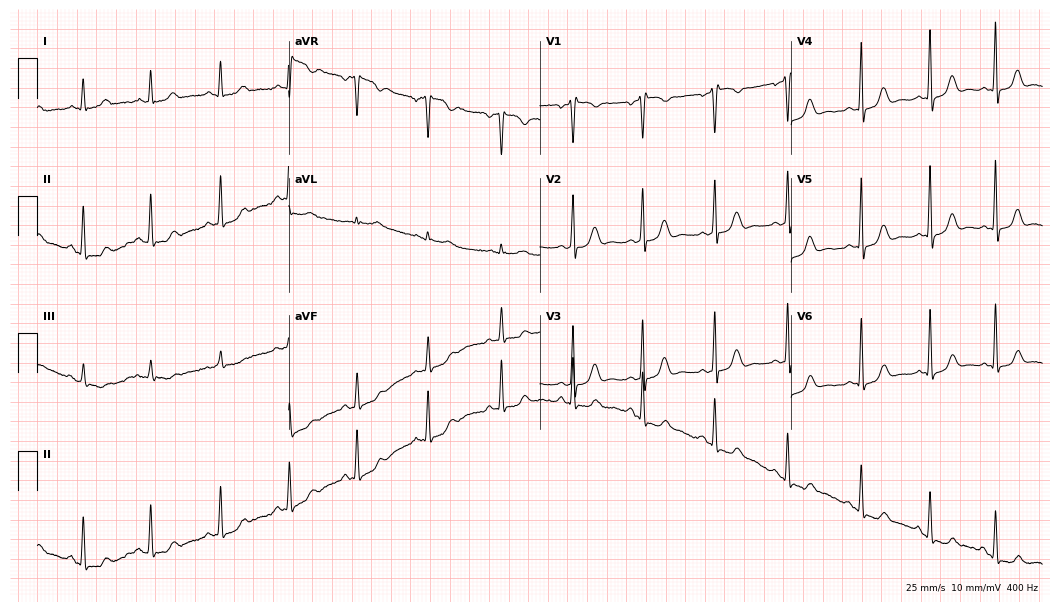
12-lead ECG from a female patient, 38 years old. Screened for six findings — first-degree AV block, right bundle branch block, left bundle branch block, sinus bradycardia, atrial fibrillation, sinus tachycardia — none is recorded.